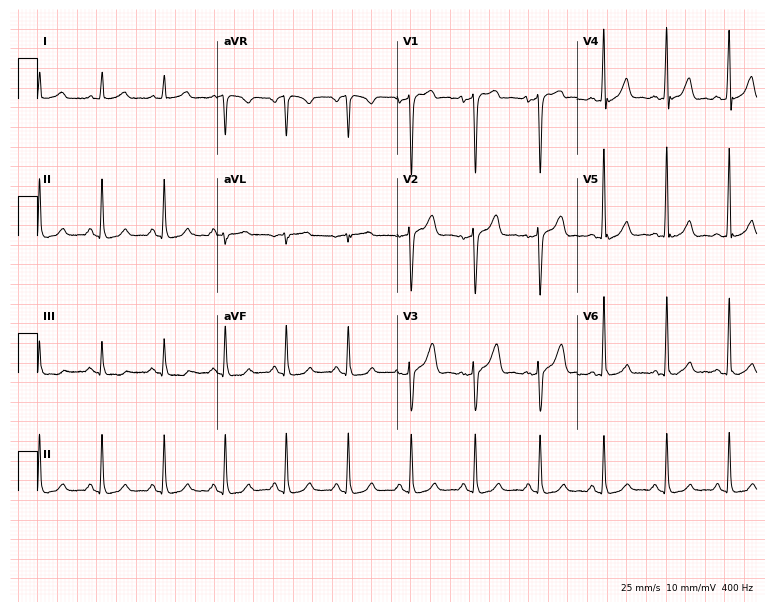
12-lead ECG from a male patient, 49 years old. No first-degree AV block, right bundle branch block (RBBB), left bundle branch block (LBBB), sinus bradycardia, atrial fibrillation (AF) or sinus tachycardia recorded for this tracing.